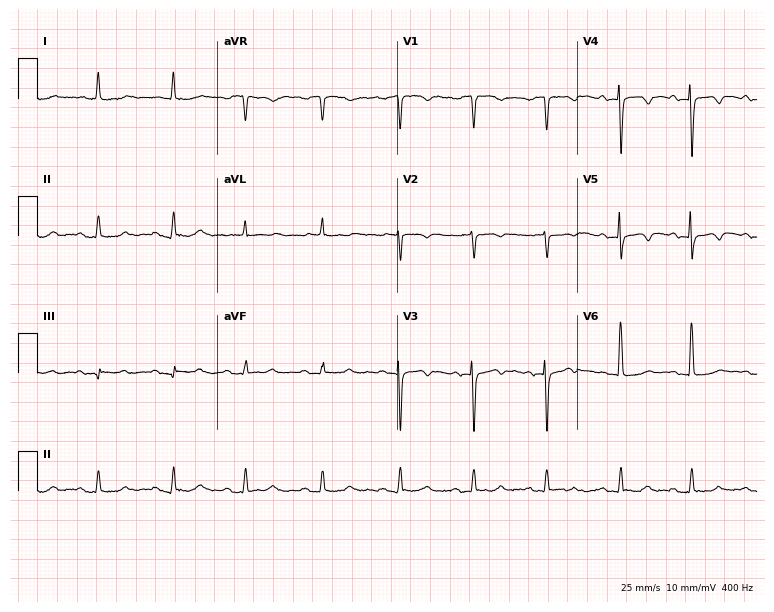
Resting 12-lead electrocardiogram (7.3-second recording at 400 Hz). Patient: a female, 80 years old. None of these six findings is recorded: first-degree AV block, right bundle branch block (RBBB), left bundle branch block (LBBB), sinus bradycardia, atrial fibrillation (AF), sinus tachycardia. Other findings, if any, are not listed.